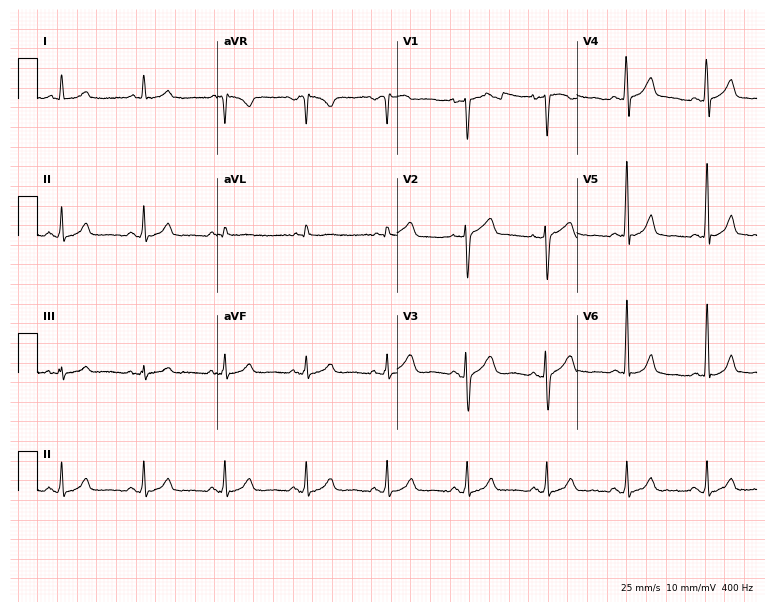
Electrocardiogram (7.3-second recording at 400 Hz), a 55-year-old male patient. Overall reading on record: normal ECG.